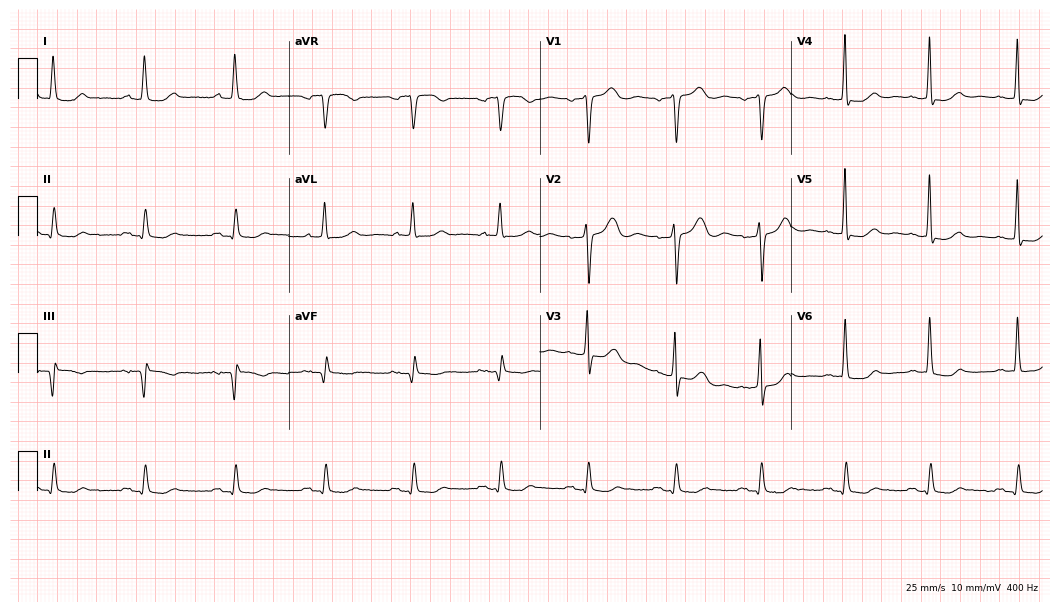
Standard 12-lead ECG recorded from a female patient, 84 years old (10.2-second recording at 400 Hz). None of these six findings is recorded: first-degree AV block, right bundle branch block (RBBB), left bundle branch block (LBBB), sinus bradycardia, atrial fibrillation (AF), sinus tachycardia. Only these six findings were labelled.